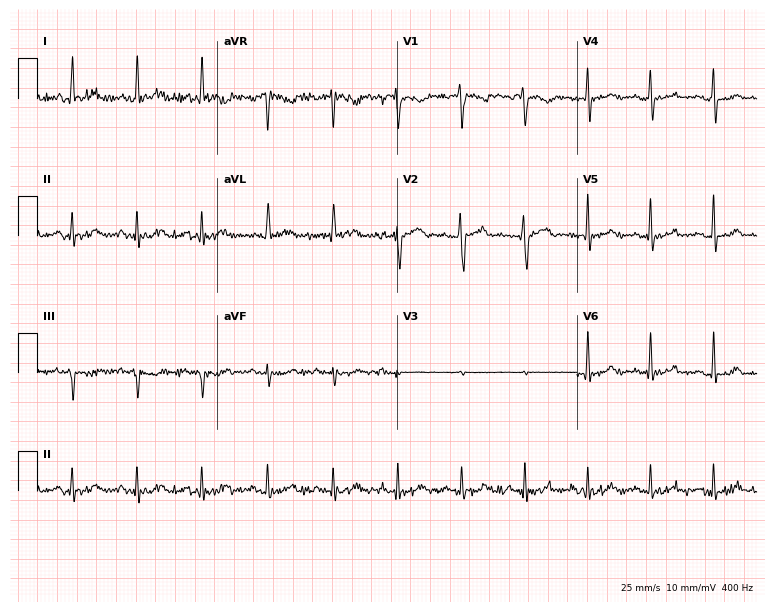
Standard 12-lead ECG recorded from a woman, 37 years old. None of these six findings is recorded: first-degree AV block, right bundle branch block, left bundle branch block, sinus bradycardia, atrial fibrillation, sinus tachycardia.